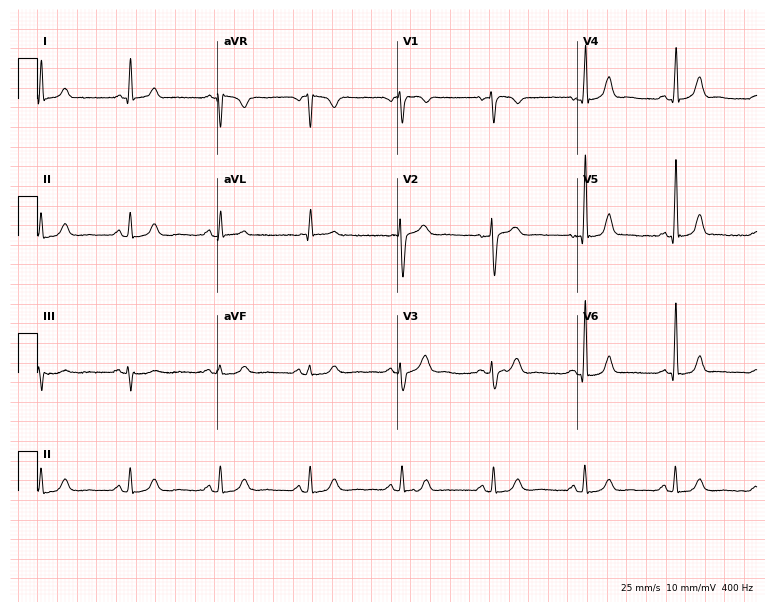
Standard 12-lead ECG recorded from a female patient, 53 years old. None of these six findings is recorded: first-degree AV block, right bundle branch block, left bundle branch block, sinus bradycardia, atrial fibrillation, sinus tachycardia. Only these six findings were labelled.